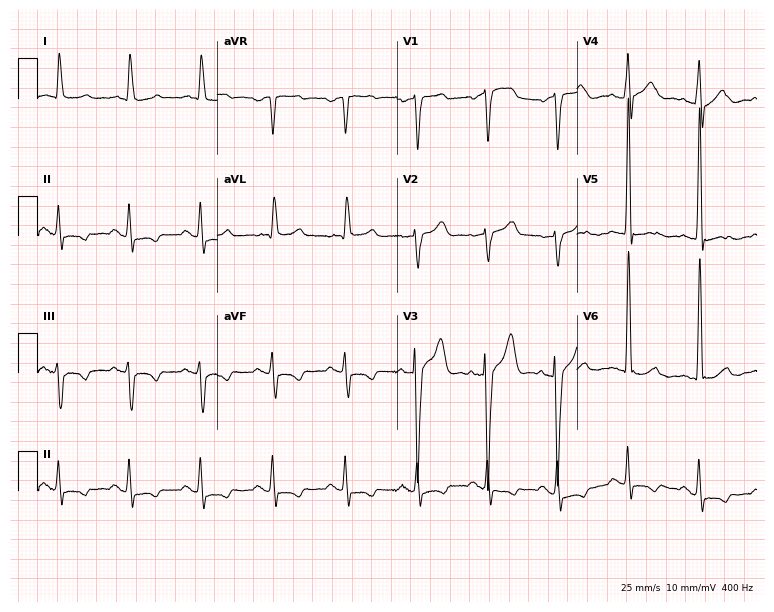
Resting 12-lead electrocardiogram. Patient: a female, 66 years old. None of these six findings is recorded: first-degree AV block, right bundle branch block, left bundle branch block, sinus bradycardia, atrial fibrillation, sinus tachycardia. Other findings, if any, are not listed.